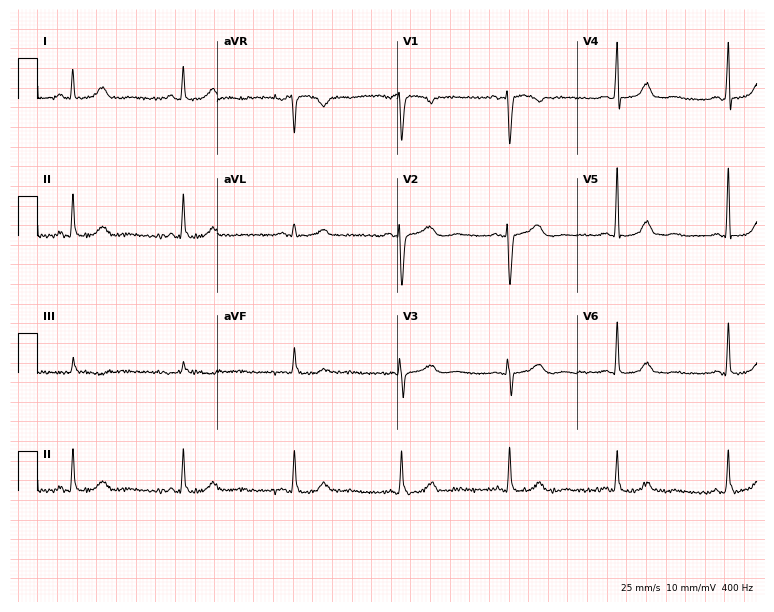
Standard 12-lead ECG recorded from a 49-year-old woman. Read as a normal ECG.